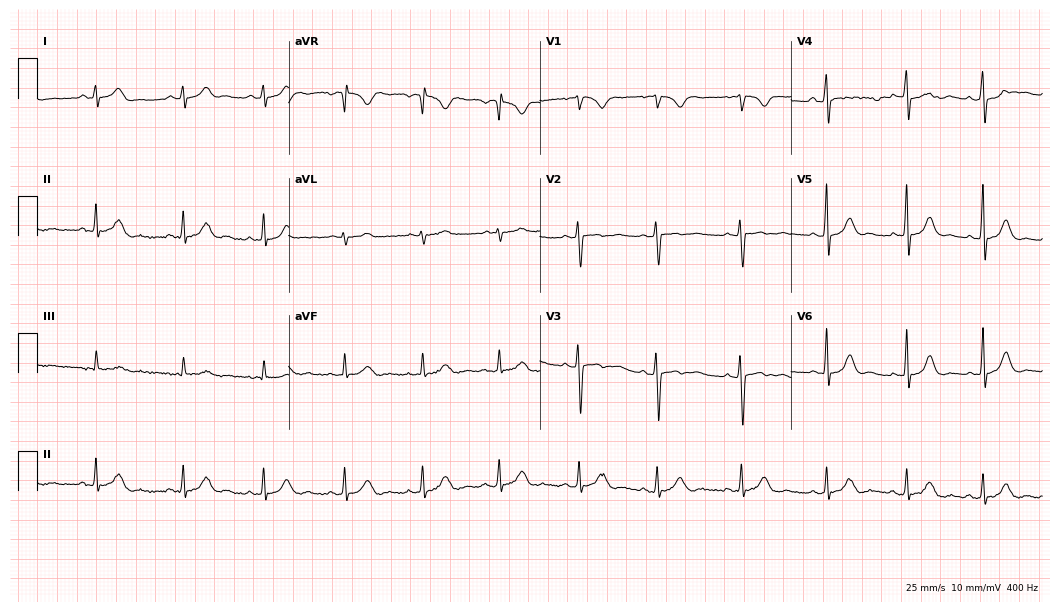
12-lead ECG (10.2-second recording at 400 Hz) from a 17-year-old woman. Labelled as a normal ECG.